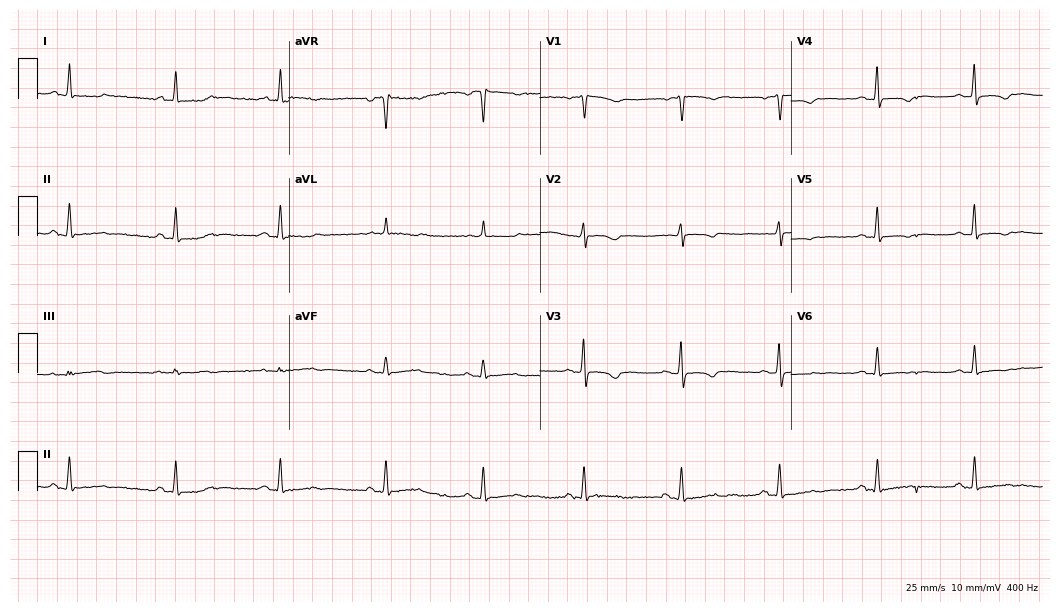
12-lead ECG from a 46-year-old woman. Screened for six findings — first-degree AV block, right bundle branch block, left bundle branch block, sinus bradycardia, atrial fibrillation, sinus tachycardia — none is recorded. Only these six findings were labelled.